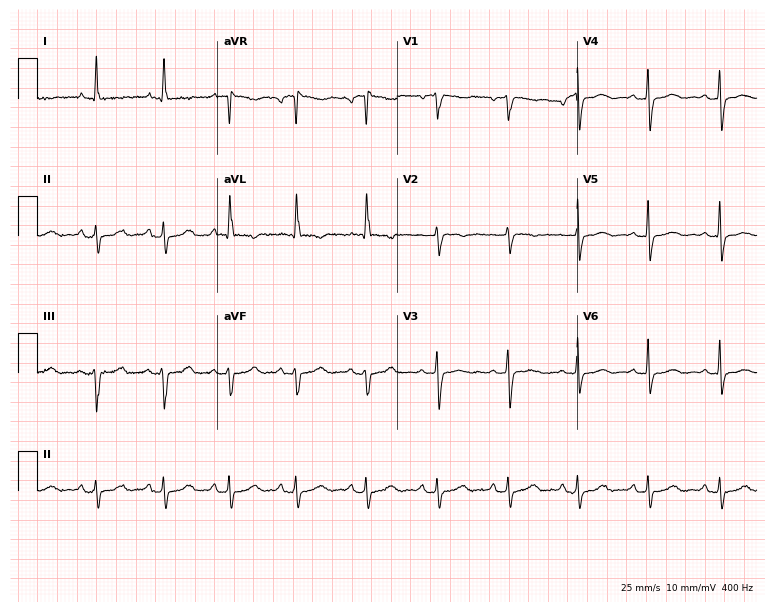
12-lead ECG (7.3-second recording at 400 Hz) from a female patient, 71 years old. Screened for six findings — first-degree AV block, right bundle branch block, left bundle branch block, sinus bradycardia, atrial fibrillation, sinus tachycardia — none is recorded. Other findings, if any, are not listed.